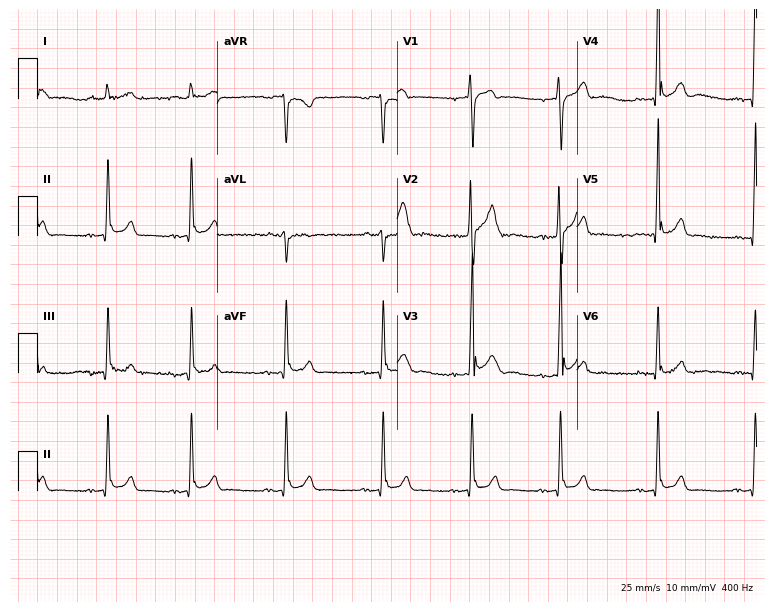
Resting 12-lead electrocardiogram. Patient: a man, 24 years old. None of these six findings is recorded: first-degree AV block, right bundle branch block (RBBB), left bundle branch block (LBBB), sinus bradycardia, atrial fibrillation (AF), sinus tachycardia.